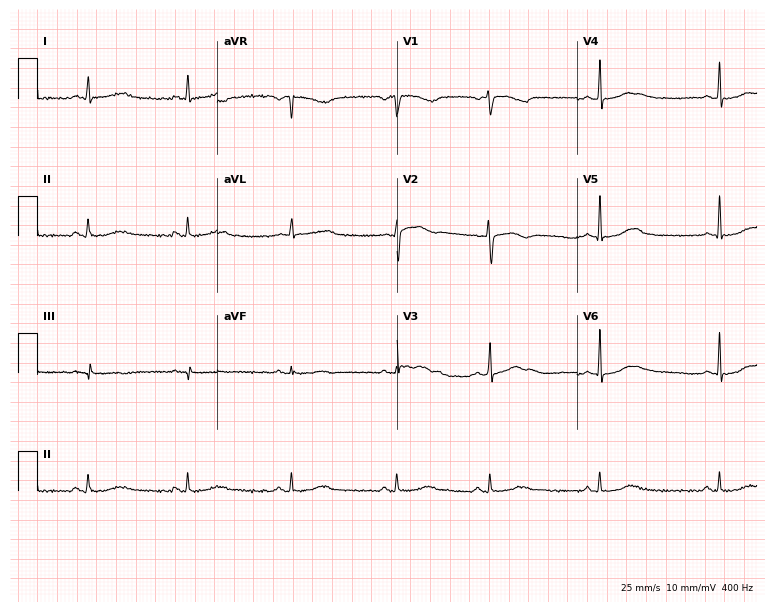
Standard 12-lead ECG recorded from a 29-year-old woman (7.3-second recording at 400 Hz). Read as a normal ECG.